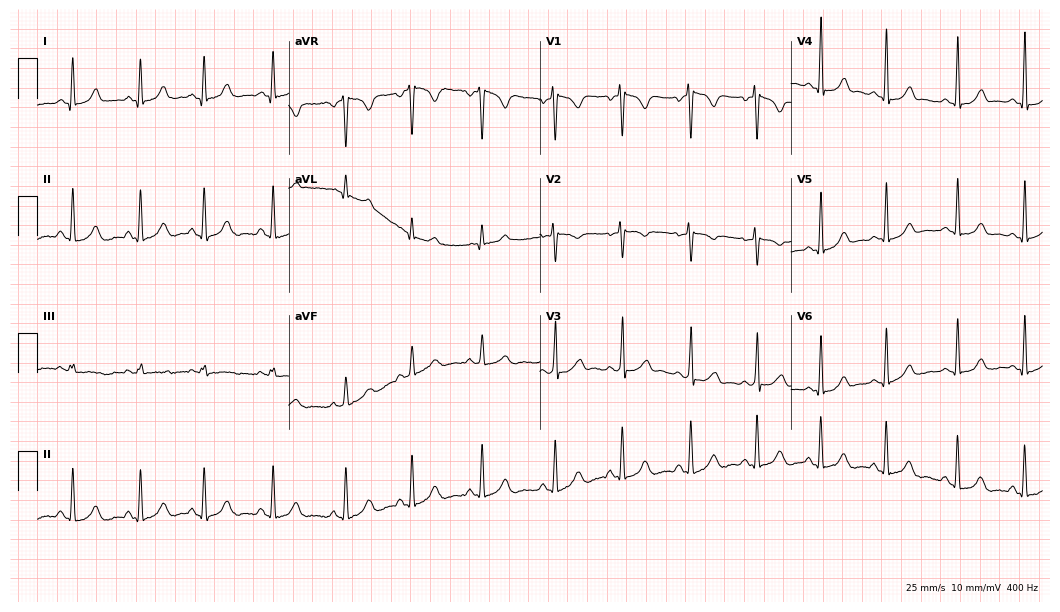
Standard 12-lead ECG recorded from a 27-year-old female (10.2-second recording at 400 Hz). Read as a normal ECG.